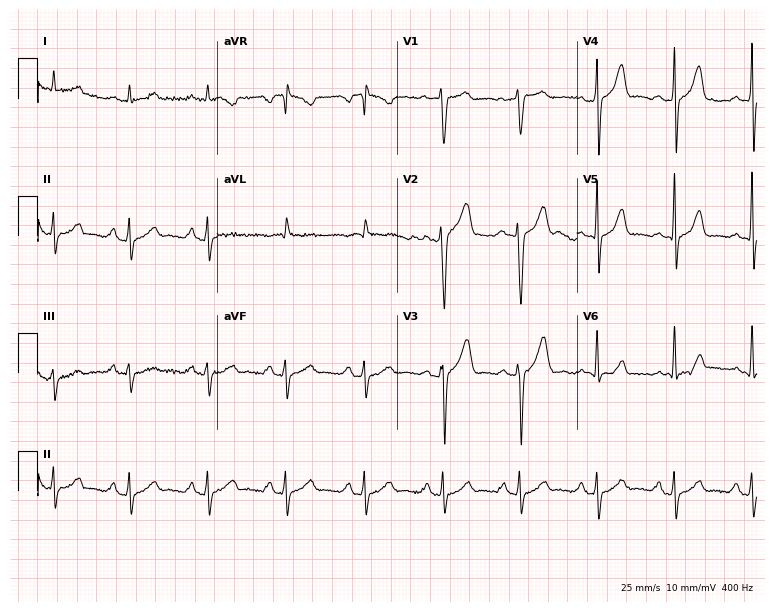
Resting 12-lead electrocardiogram (7.3-second recording at 400 Hz). Patient: a 63-year-old male. None of these six findings is recorded: first-degree AV block, right bundle branch block (RBBB), left bundle branch block (LBBB), sinus bradycardia, atrial fibrillation (AF), sinus tachycardia.